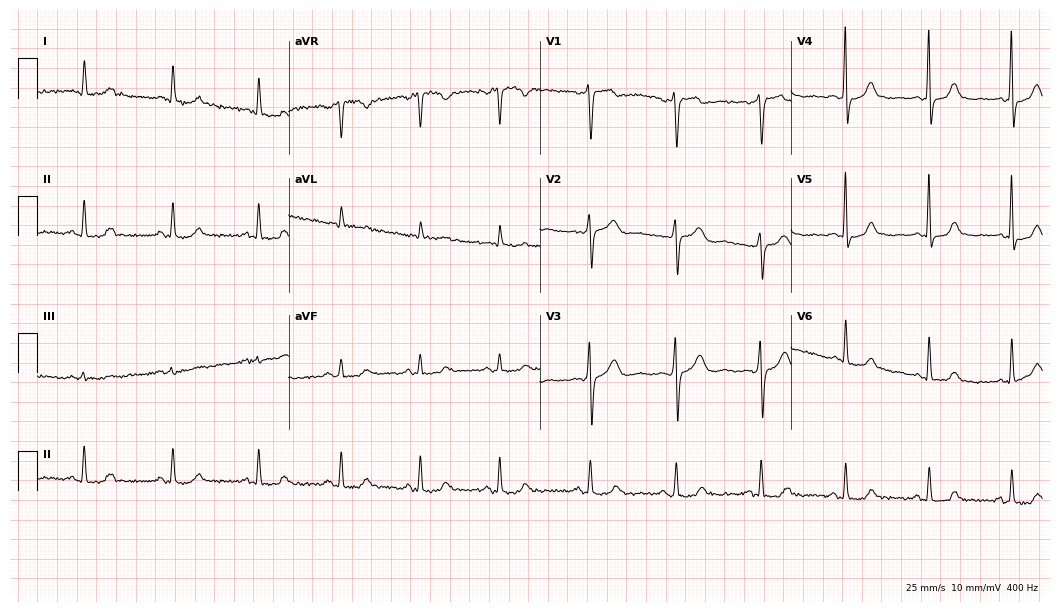
Standard 12-lead ECG recorded from a woman, 55 years old. None of these six findings is recorded: first-degree AV block, right bundle branch block, left bundle branch block, sinus bradycardia, atrial fibrillation, sinus tachycardia.